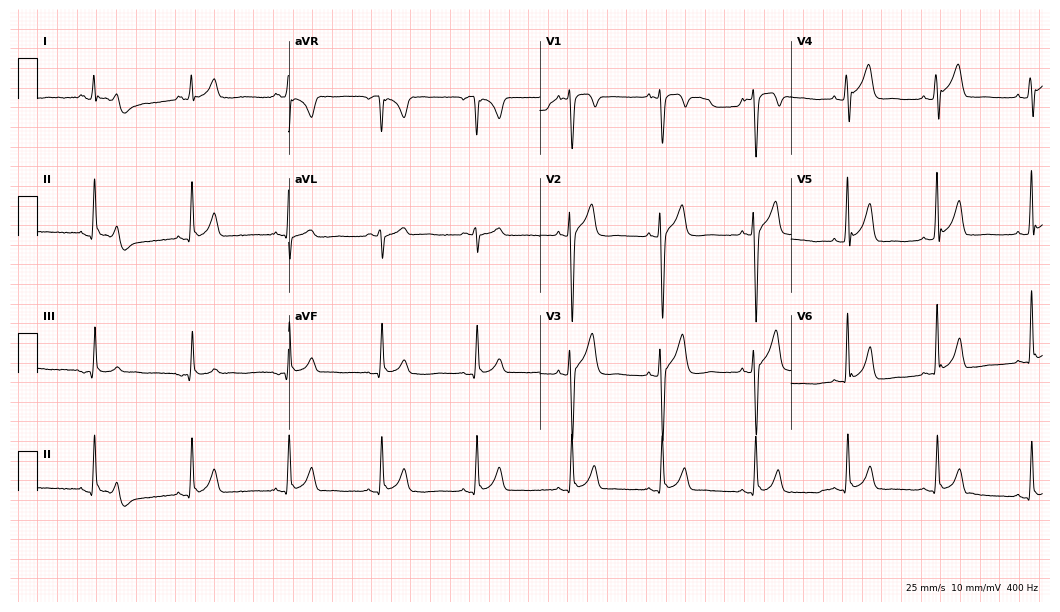
Resting 12-lead electrocardiogram (10.2-second recording at 400 Hz). Patient: a 34-year-old male. Read as a normal ECG.